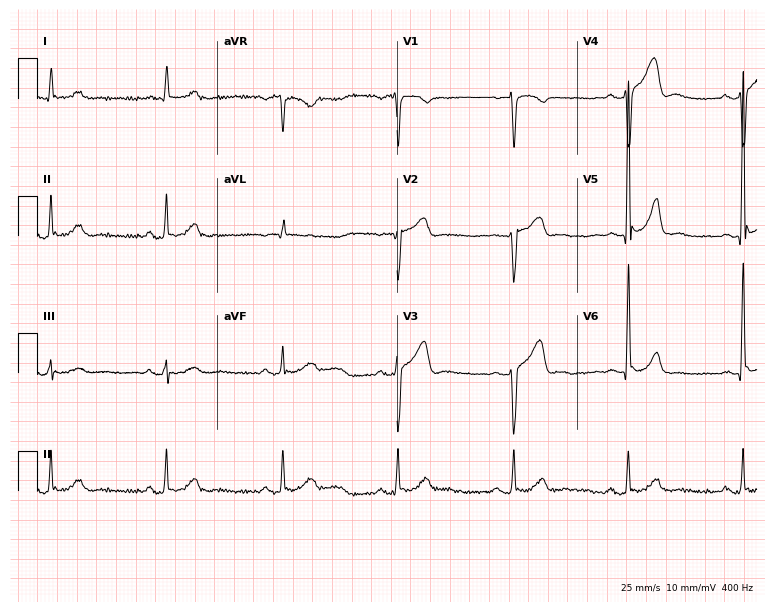
ECG — a 68-year-old male patient. Screened for six findings — first-degree AV block, right bundle branch block, left bundle branch block, sinus bradycardia, atrial fibrillation, sinus tachycardia — none is recorded. Findings outside these six are not listed.